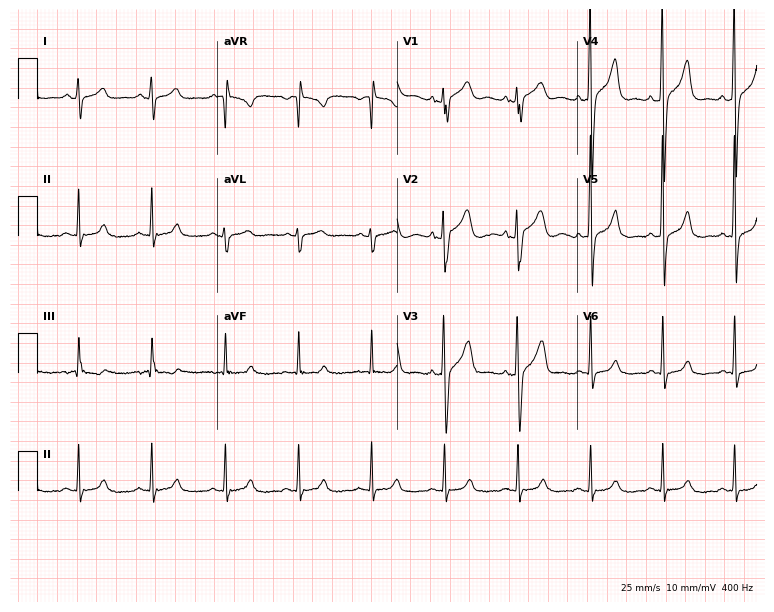
12-lead ECG from a 26-year-old man. Labelled as a normal ECG.